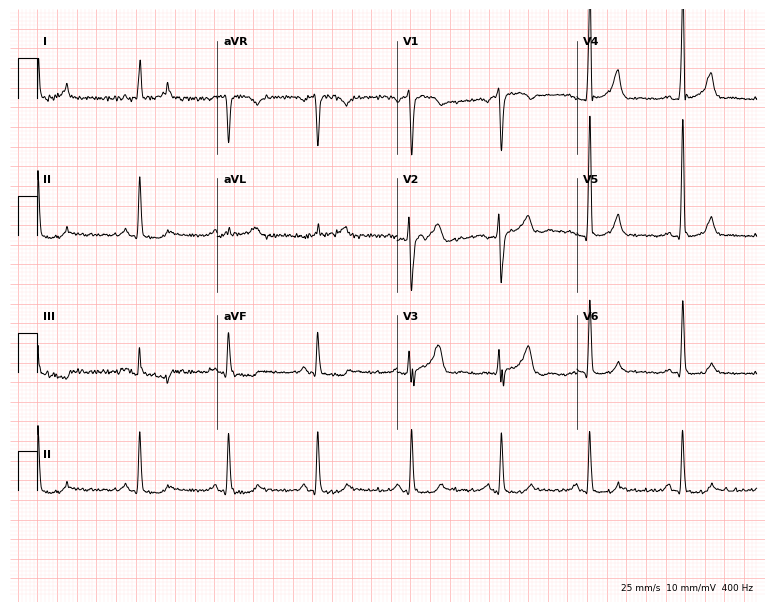
Standard 12-lead ECG recorded from a woman, 45 years old (7.3-second recording at 400 Hz). Read as a normal ECG.